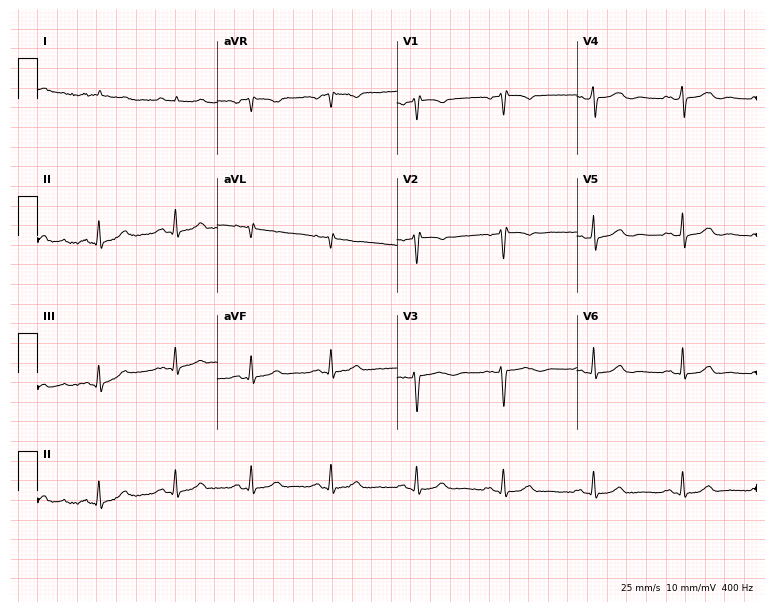
ECG (7.3-second recording at 400 Hz) — a 45-year-old female patient. Screened for six findings — first-degree AV block, right bundle branch block, left bundle branch block, sinus bradycardia, atrial fibrillation, sinus tachycardia — none is recorded.